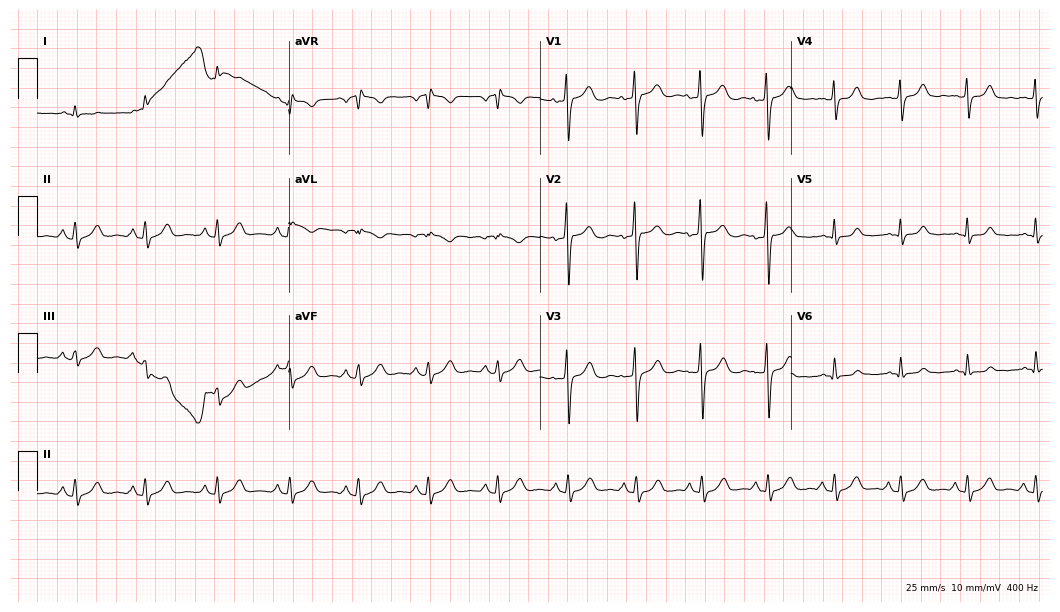
12-lead ECG from a man, 30 years old. Screened for six findings — first-degree AV block, right bundle branch block (RBBB), left bundle branch block (LBBB), sinus bradycardia, atrial fibrillation (AF), sinus tachycardia — none is recorded.